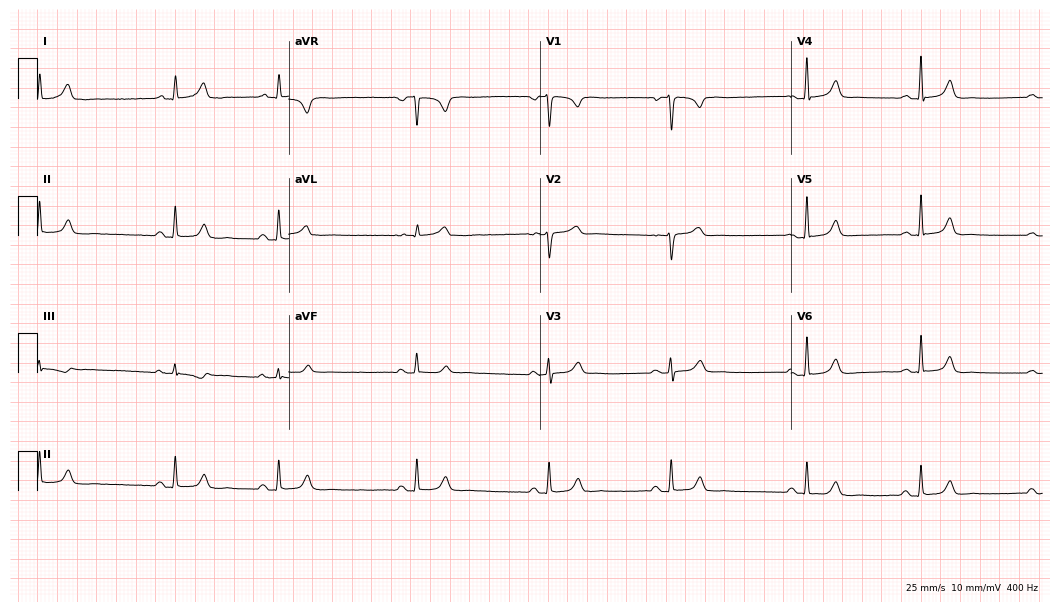
12-lead ECG from a female, 30 years old. Screened for six findings — first-degree AV block, right bundle branch block, left bundle branch block, sinus bradycardia, atrial fibrillation, sinus tachycardia — none is recorded. Findings outside these six are not listed.